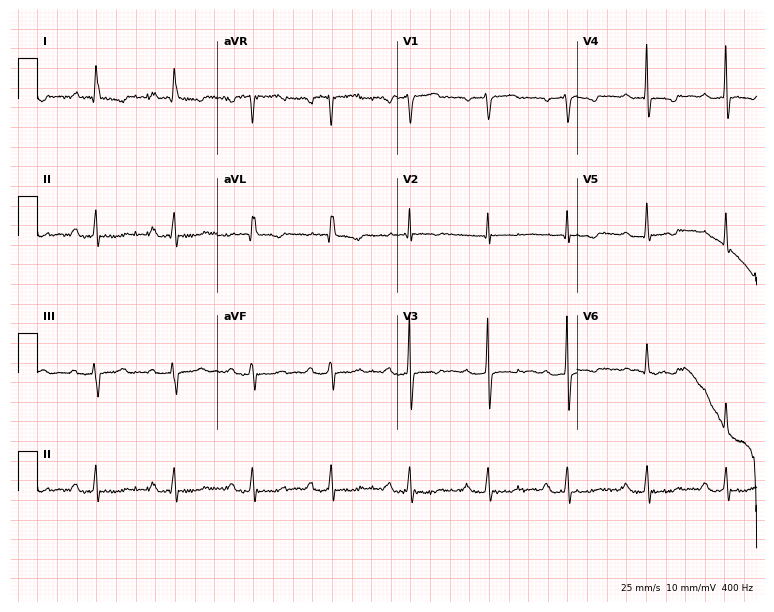
ECG — an 81-year-old man. Screened for six findings — first-degree AV block, right bundle branch block, left bundle branch block, sinus bradycardia, atrial fibrillation, sinus tachycardia — none is recorded. Only these six findings were labelled.